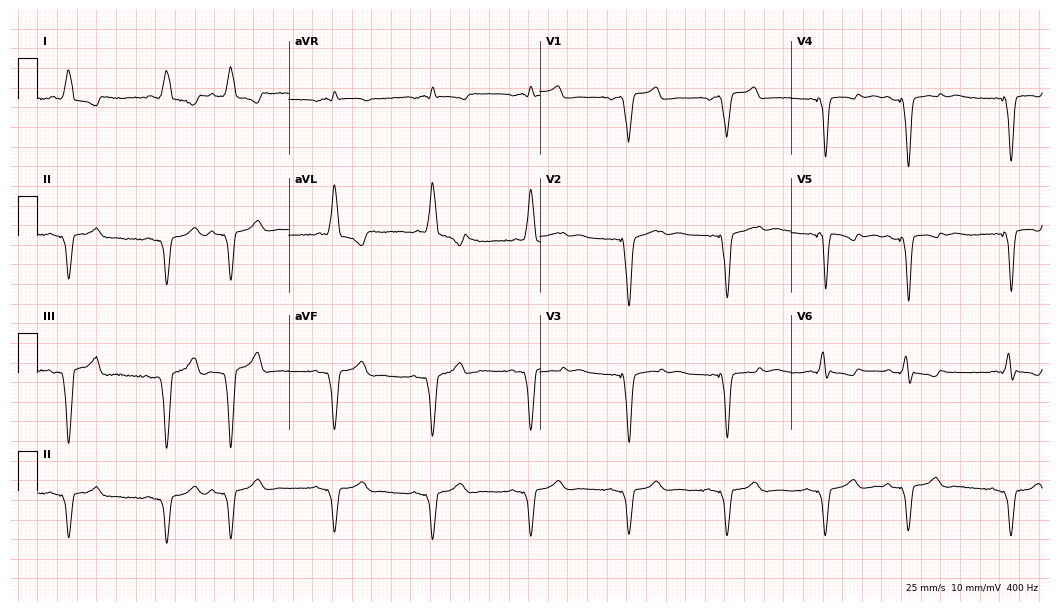
Standard 12-lead ECG recorded from a male, 73 years old. None of these six findings is recorded: first-degree AV block, right bundle branch block (RBBB), left bundle branch block (LBBB), sinus bradycardia, atrial fibrillation (AF), sinus tachycardia. Only these six findings were labelled.